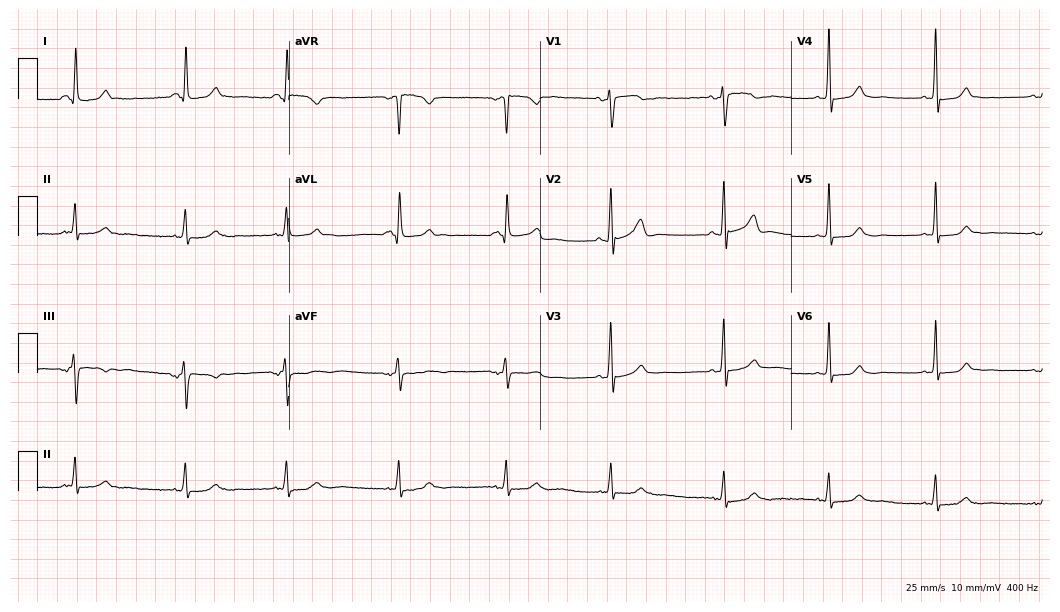
12-lead ECG from a 43-year-old female. No first-degree AV block, right bundle branch block, left bundle branch block, sinus bradycardia, atrial fibrillation or sinus tachycardia recorded for this tracing. Other findings, if any, are not listed.